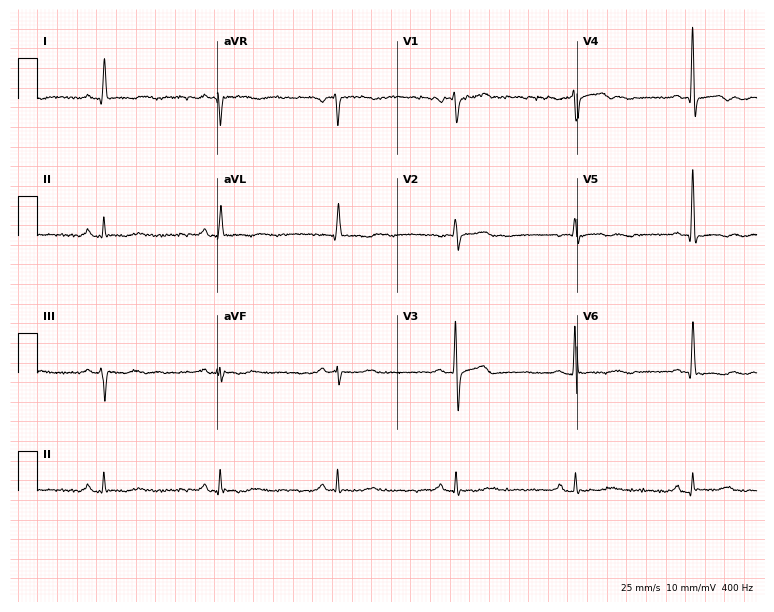
Standard 12-lead ECG recorded from a man, 82 years old. The tracing shows sinus bradycardia (a sinus rate of 50 beats per minute or less).